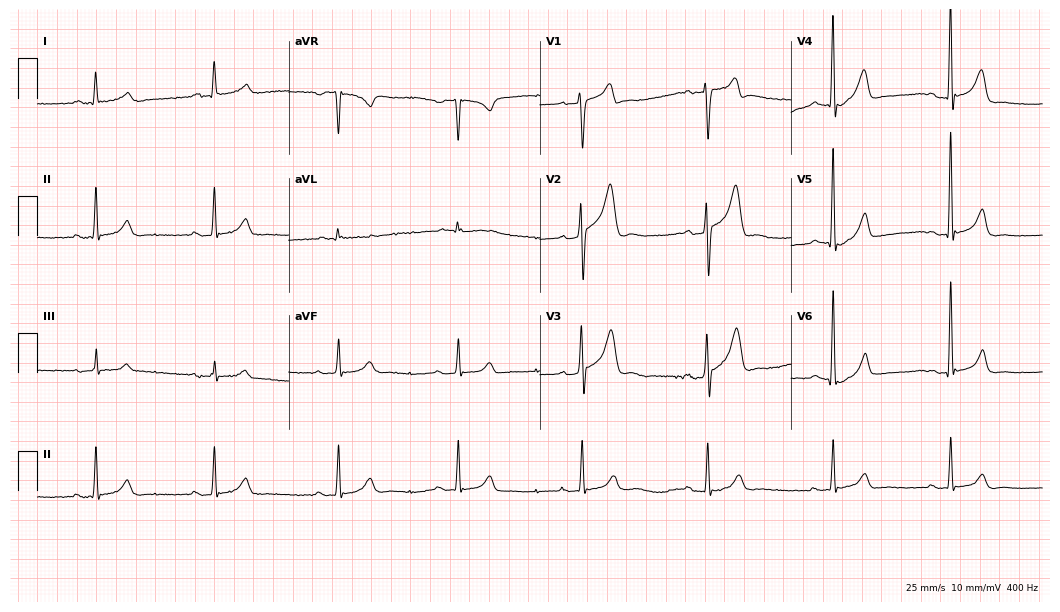
12-lead ECG (10.2-second recording at 400 Hz) from a man, 44 years old. Screened for six findings — first-degree AV block, right bundle branch block, left bundle branch block, sinus bradycardia, atrial fibrillation, sinus tachycardia — none is recorded. Findings outside these six are not listed.